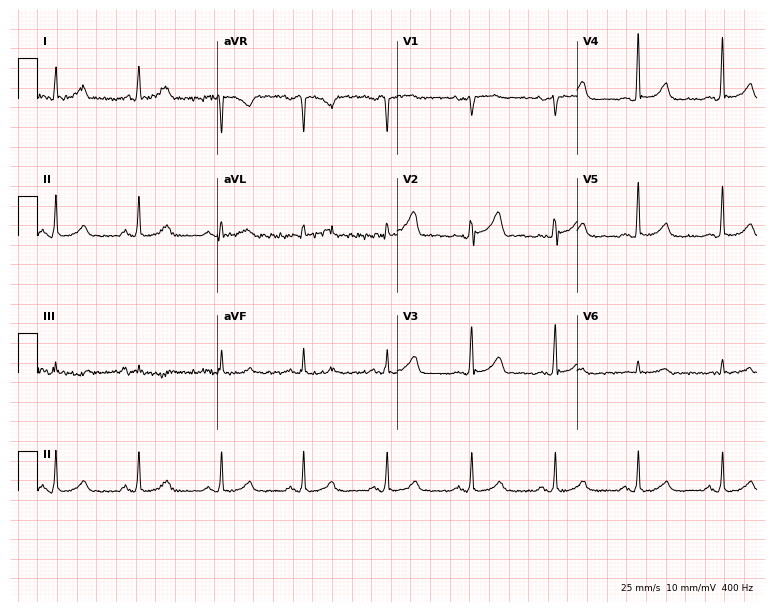
12-lead ECG from a 66-year-old female patient. Labelled as a normal ECG.